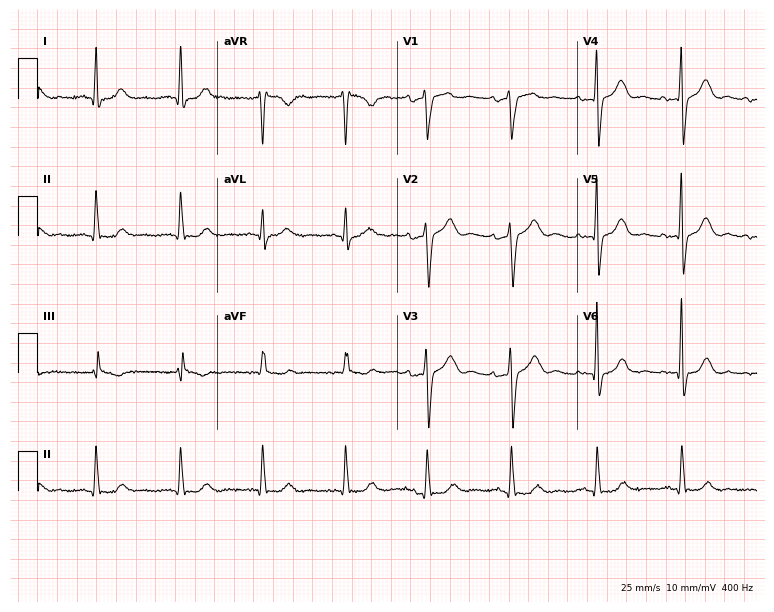
Standard 12-lead ECG recorded from a 74-year-old male. None of these six findings is recorded: first-degree AV block, right bundle branch block, left bundle branch block, sinus bradycardia, atrial fibrillation, sinus tachycardia. Other findings, if any, are not listed.